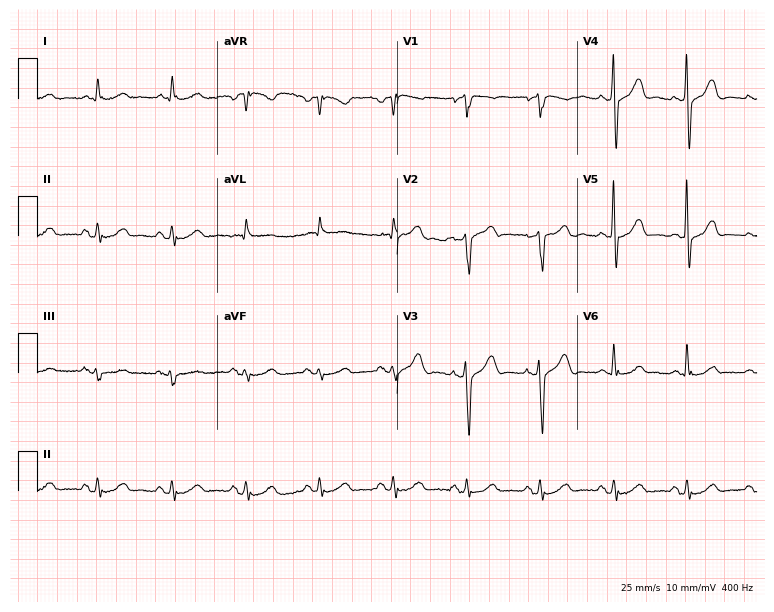
ECG — a male, 79 years old. Labelled as a normal ECG.